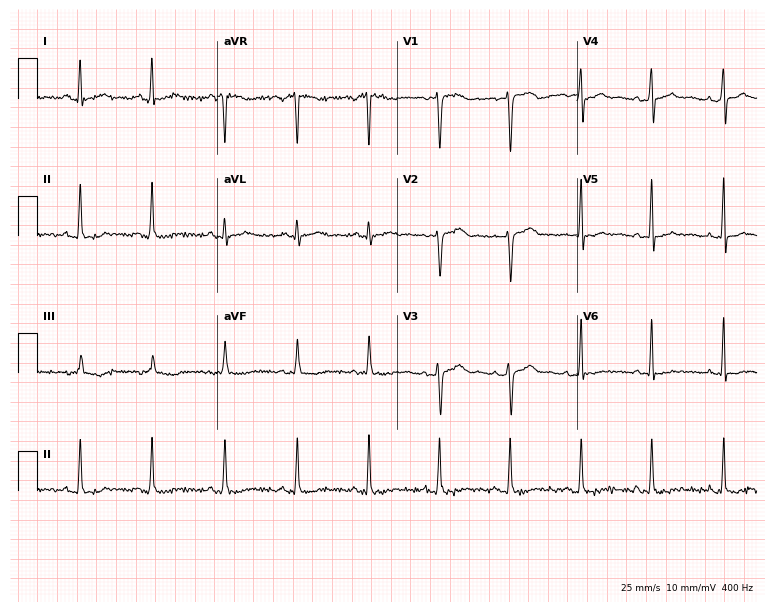
Electrocardiogram, a female, 38 years old. Overall reading on record: normal ECG.